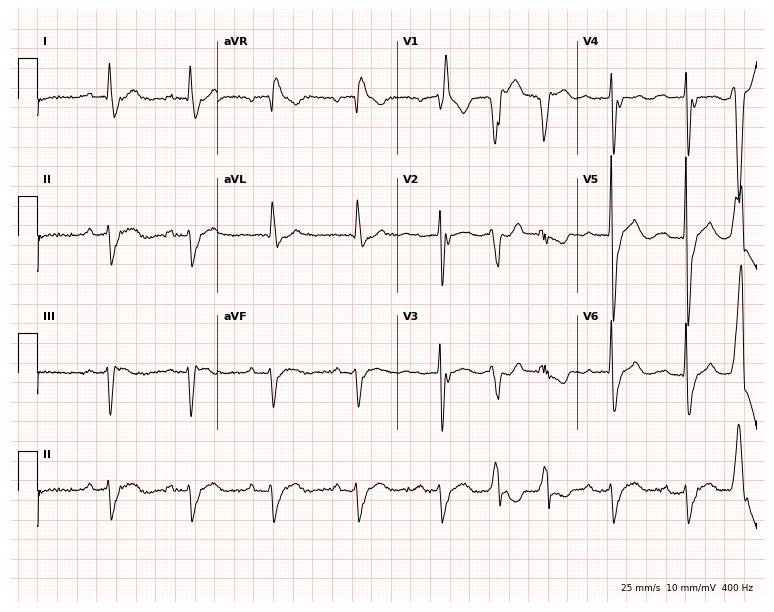
ECG — a man, 81 years old. Findings include atrial fibrillation (AF).